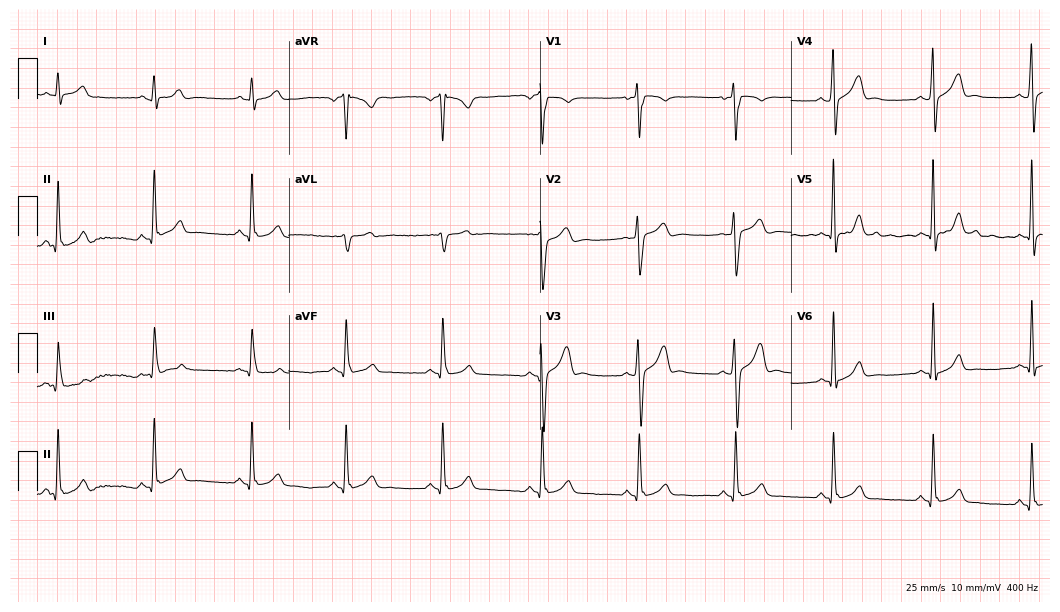
12-lead ECG from a male, 21 years old. Labelled as a normal ECG.